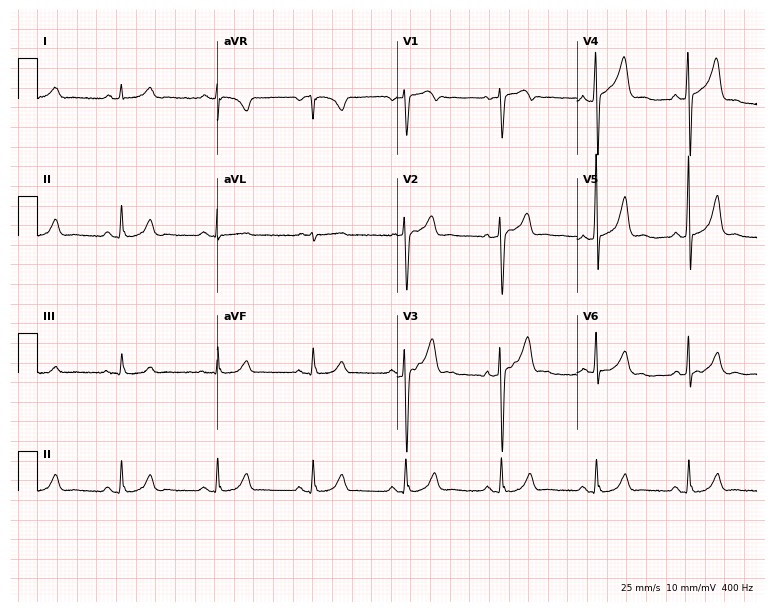
12-lead ECG from a man, 56 years old. Recorded interpretation: within normal limits.